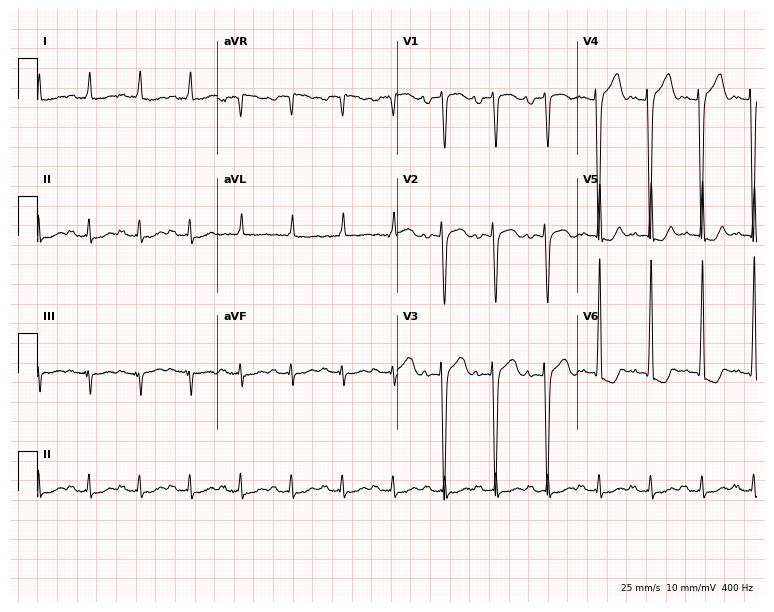
ECG — an 84-year-old woman. Findings include sinus tachycardia (a sinus rate of 100 beats per minute or more).